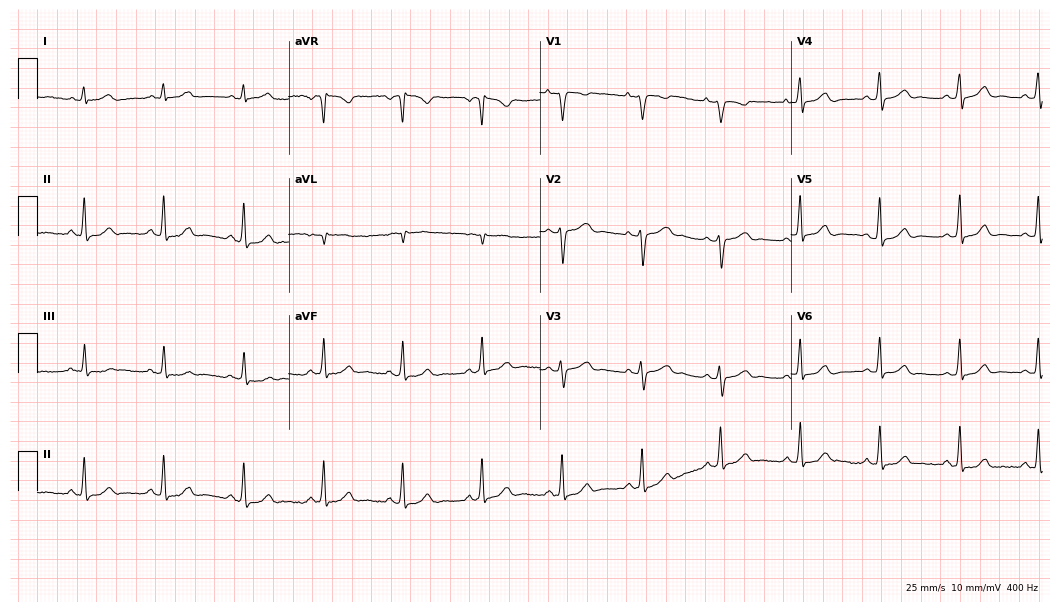
Resting 12-lead electrocardiogram. Patient: a female, 36 years old. Read as a normal ECG.